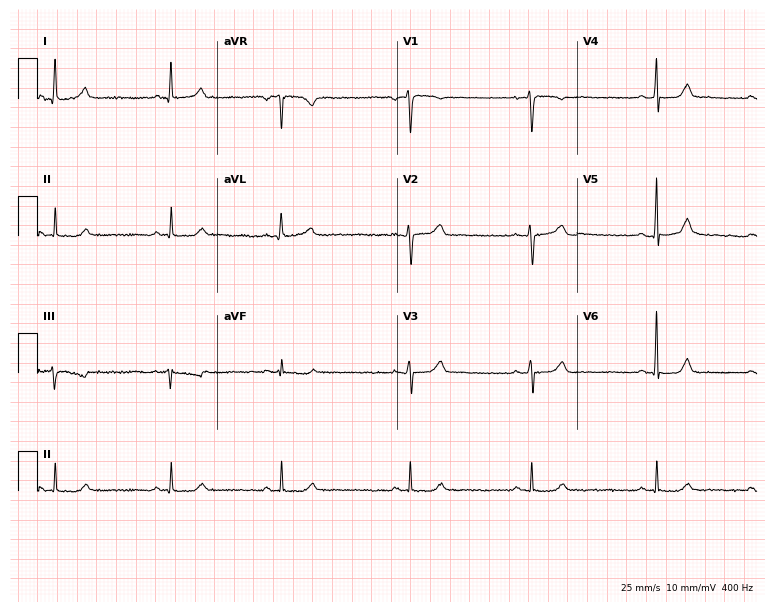
Resting 12-lead electrocardiogram. Patient: a 47-year-old female. None of these six findings is recorded: first-degree AV block, right bundle branch block, left bundle branch block, sinus bradycardia, atrial fibrillation, sinus tachycardia. Other findings, if any, are not listed.